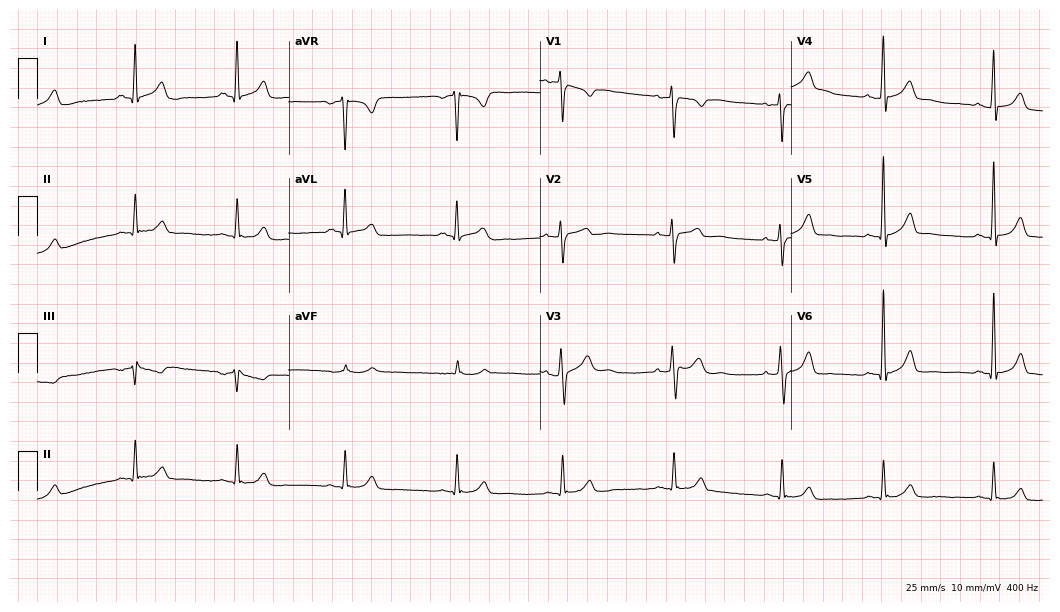
Electrocardiogram (10.2-second recording at 400 Hz), a male patient, 40 years old. Overall reading on record: normal ECG.